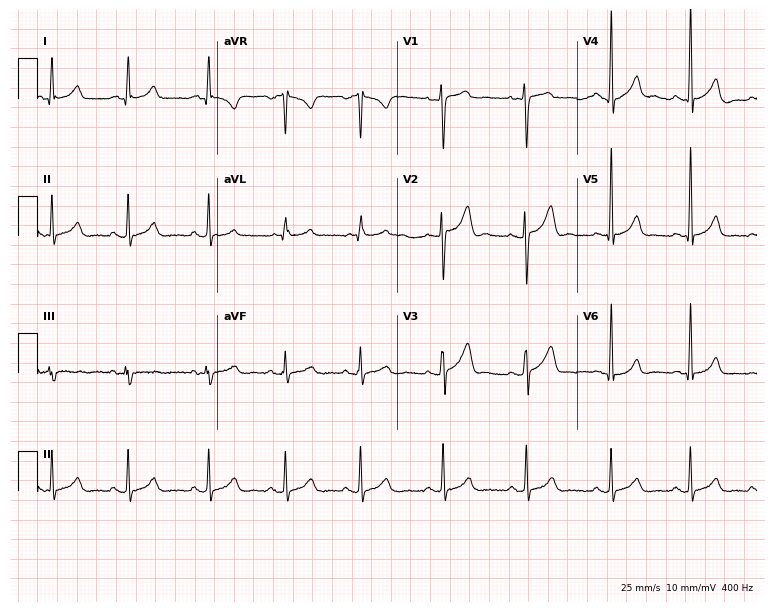
Resting 12-lead electrocardiogram (7.3-second recording at 400 Hz). Patient: a 17-year-old man. Read as a normal ECG.